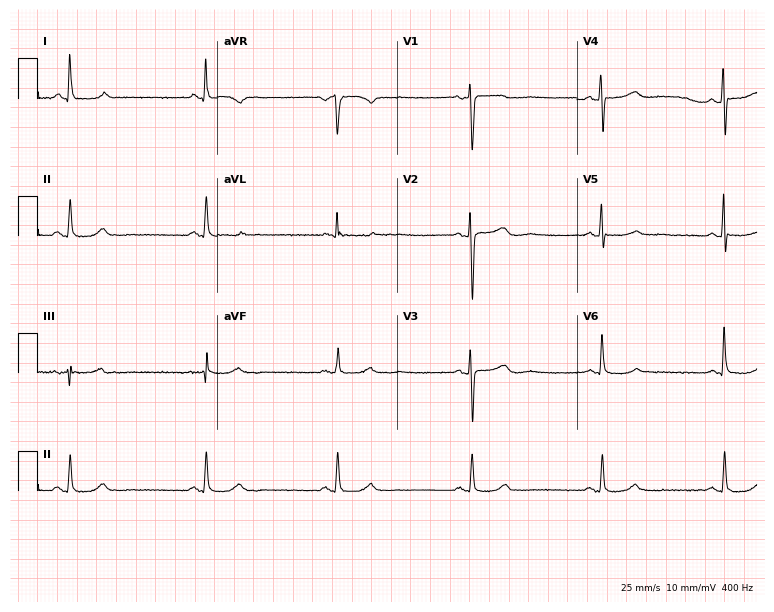
Resting 12-lead electrocardiogram (7.3-second recording at 400 Hz). Patient: a 61-year-old female. The tracing shows sinus bradycardia (a sinus rate of 50 beats per minute or less).